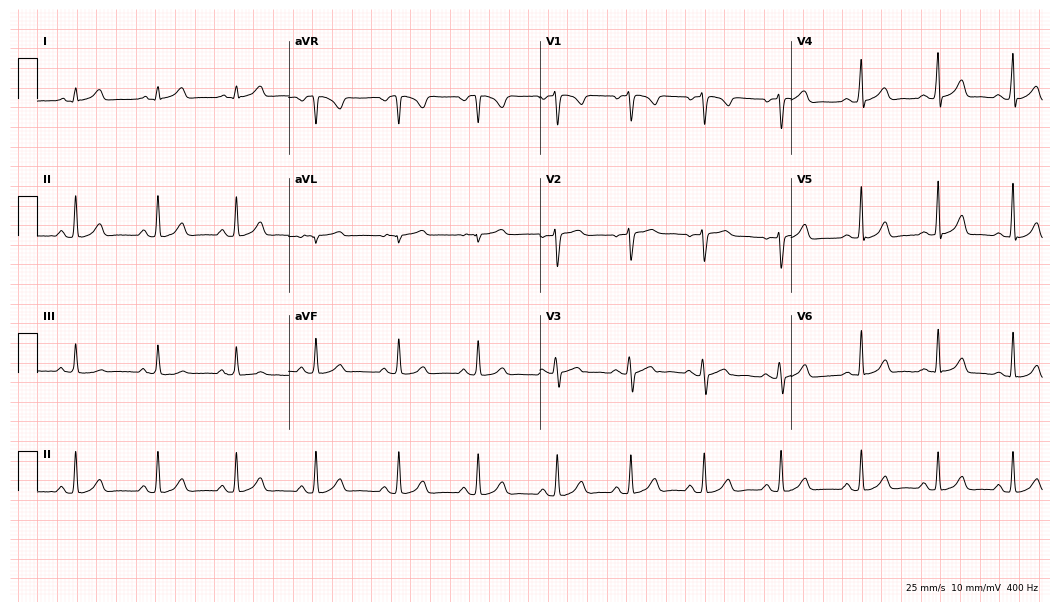
12-lead ECG (10.2-second recording at 400 Hz) from a female patient, 17 years old. Labelled as a normal ECG.